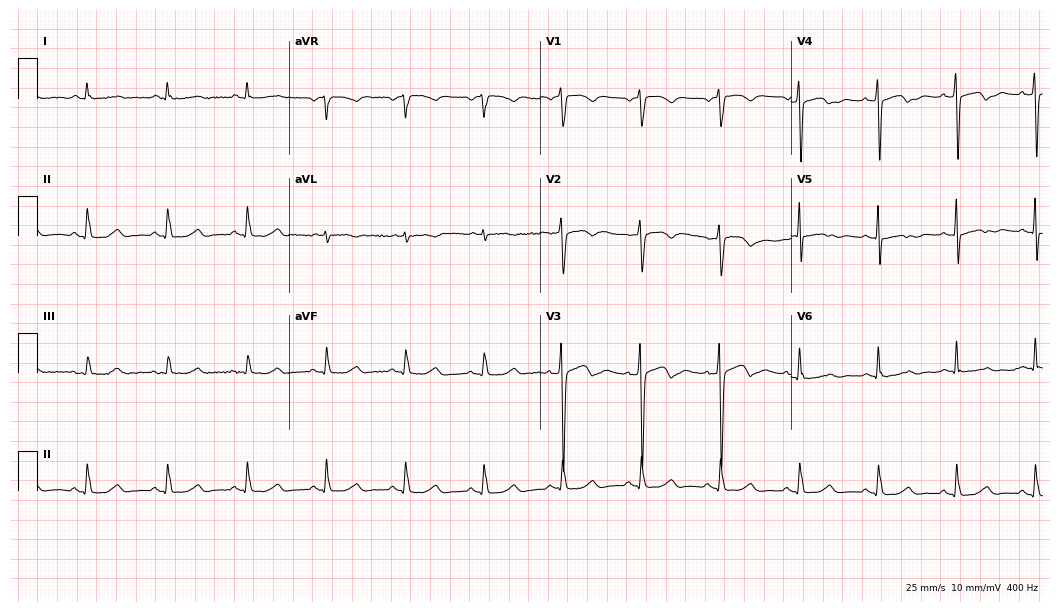
ECG (10.2-second recording at 400 Hz) — a man, 78 years old. Screened for six findings — first-degree AV block, right bundle branch block, left bundle branch block, sinus bradycardia, atrial fibrillation, sinus tachycardia — none is recorded. Findings outside these six are not listed.